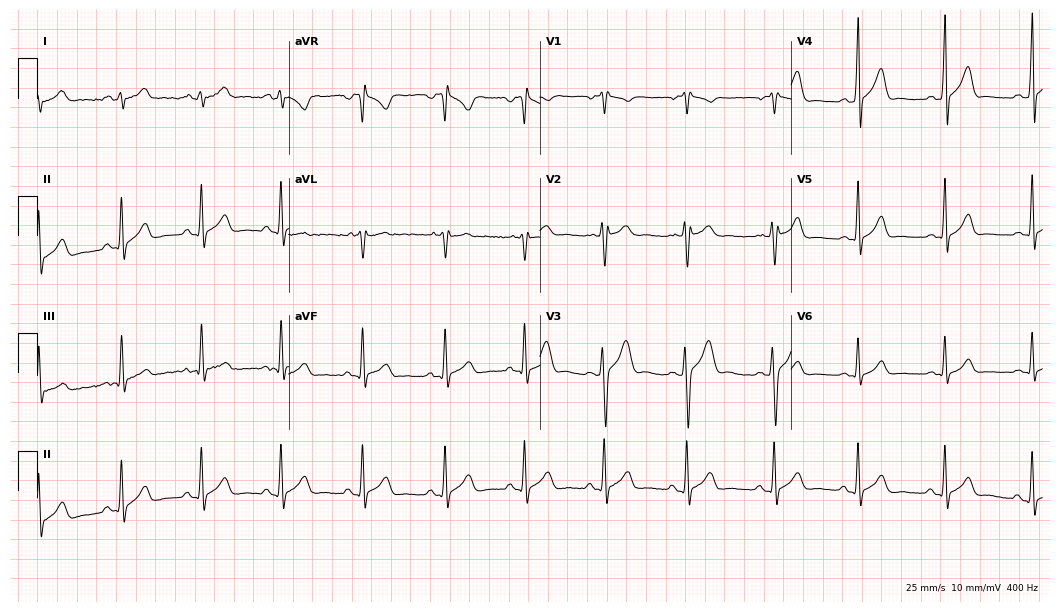
12-lead ECG from a male, 24 years old. Screened for six findings — first-degree AV block, right bundle branch block, left bundle branch block, sinus bradycardia, atrial fibrillation, sinus tachycardia — none is recorded. Other findings, if any, are not listed.